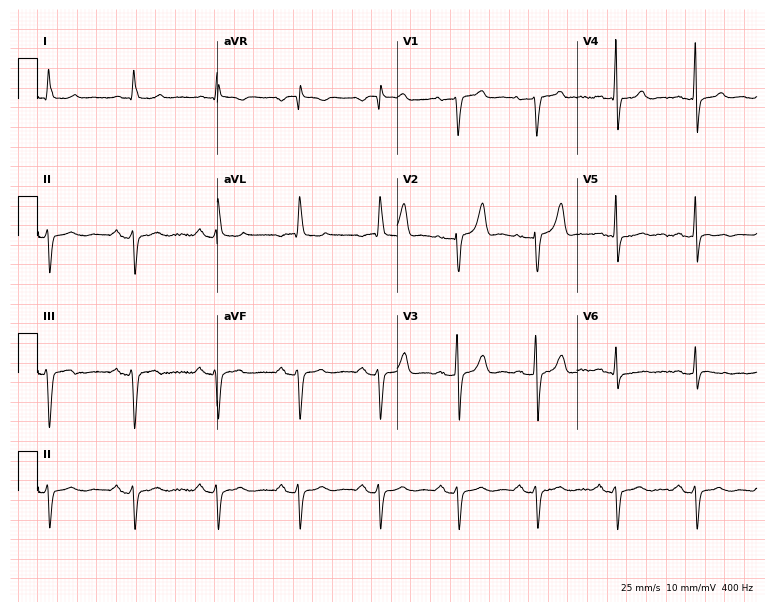
ECG (7.3-second recording at 400 Hz) — a male, 83 years old. Screened for six findings — first-degree AV block, right bundle branch block, left bundle branch block, sinus bradycardia, atrial fibrillation, sinus tachycardia — none is recorded. Findings outside these six are not listed.